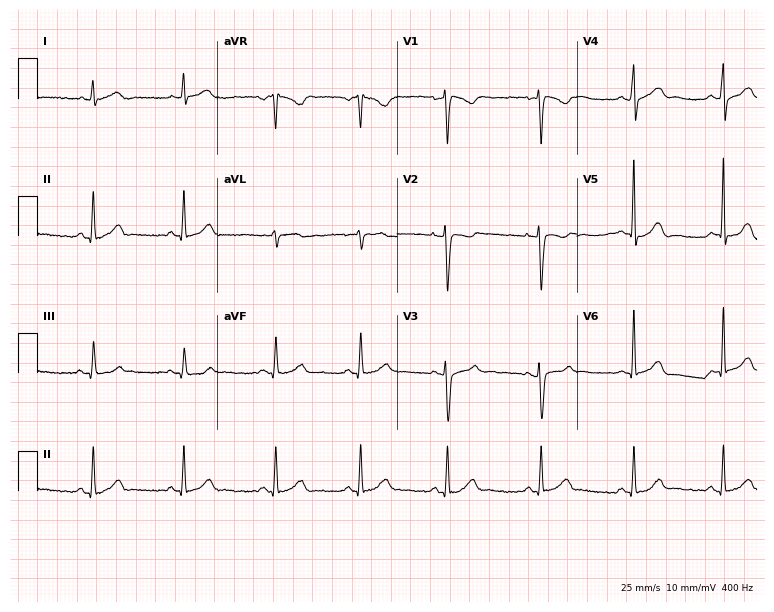
ECG — a 27-year-old female. Screened for six findings — first-degree AV block, right bundle branch block (RBBB), left bundle branch block (LBBB), sinus bradycardia, atrial fibrillation (AF), sinus tachycardia — none is recorded. Only these six findings were labelled.